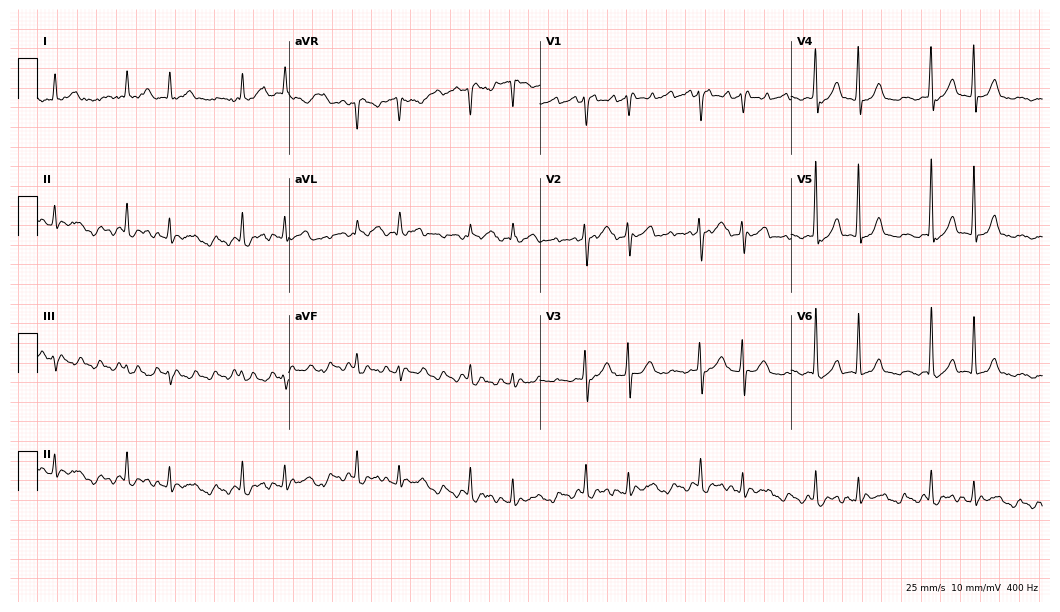
Electrocardiogram (10.2-second recording at 400 Hz), a male, 67 years old. Of the six screened findings (first-degree AV block, right bundle branch block, left bundle branch block, sinus bradycardia, atrial fibrillation, sinus tachycardia), none is recorded. Only these six findings were labelled.